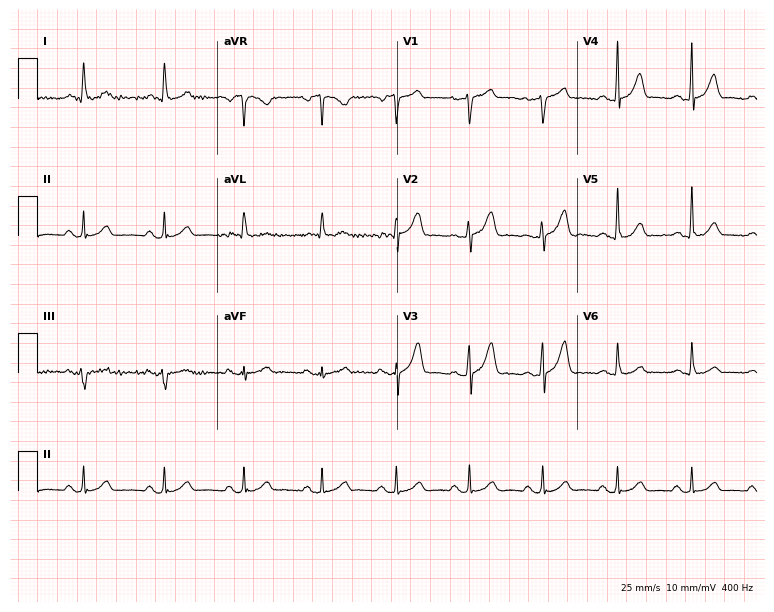
Electrocardiogram, a male patient, 52 years old. Overall reading on record: normal ECG.